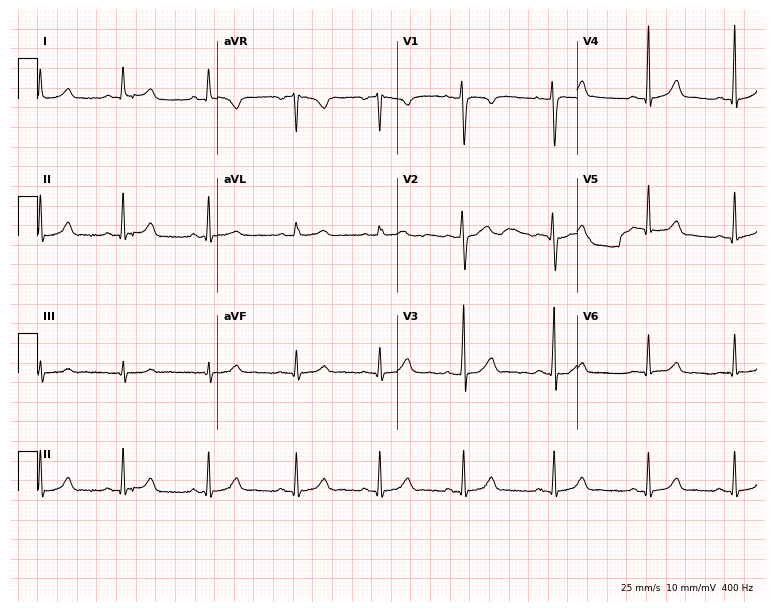
Standard 12-lead ECG recorded from a 41-year-old female patient. None of these six findings is recorded: first-degree AV block, right bundle branch block, left bundle branch block, sinus bradycardia, atrial fibrillation, sinus tachycardia.